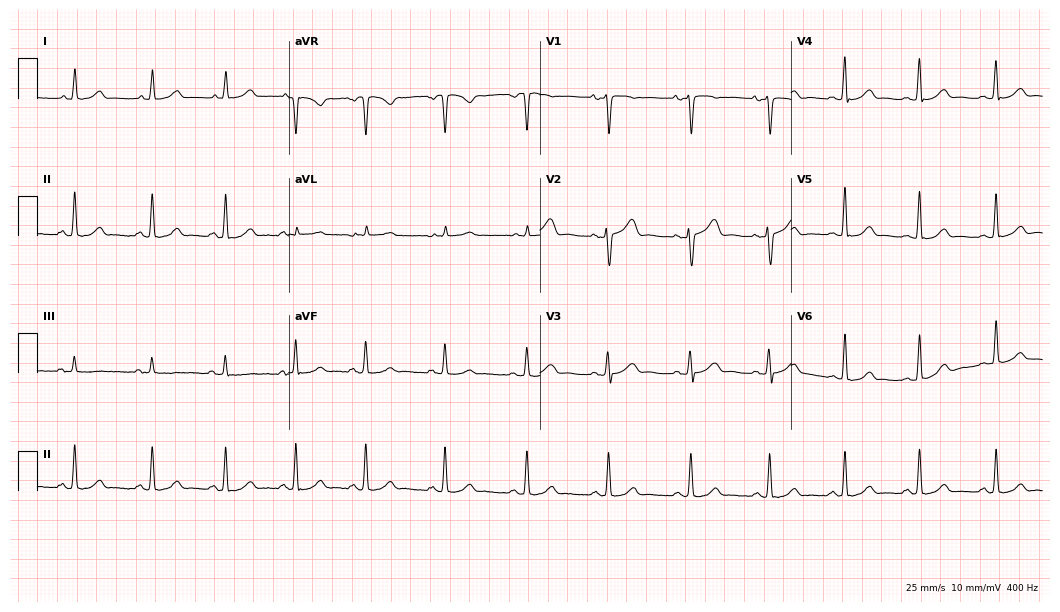
ECG (10.2-second recording at 400 Hz) — a female patient, 27 years old. Labelled as a normal ECG.